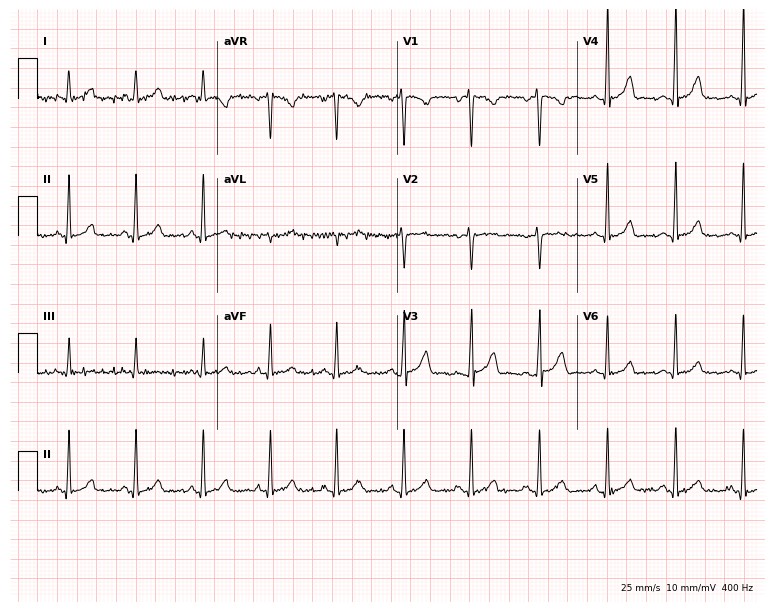
ECG — a 28-year-old woman. Labelled as a normal ECG.